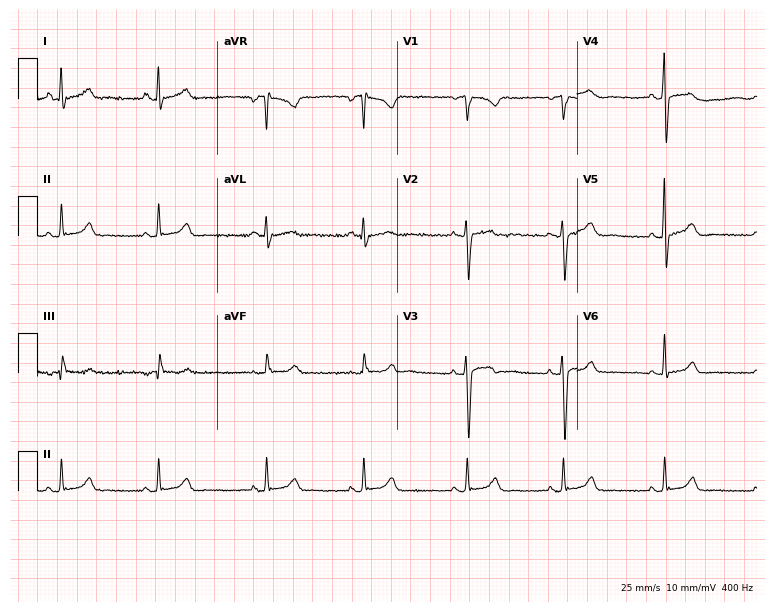
12-lead ECG from a woman, 34 years old. Recorded interpretation: within normal limits.